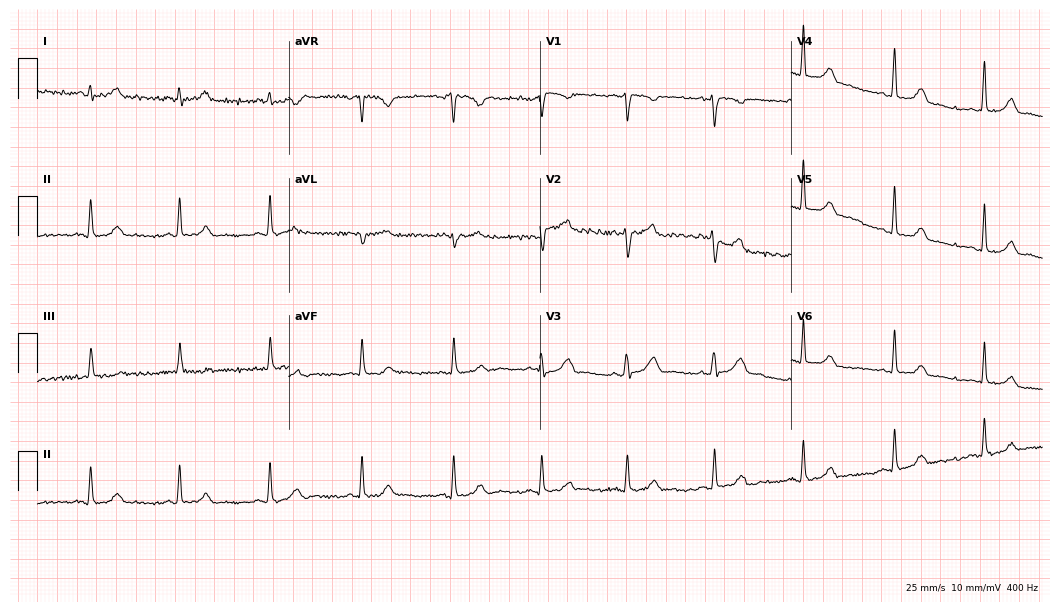
Electrocardiogram, a 35-year-old female patient. Overall reading on record: normal ECG.